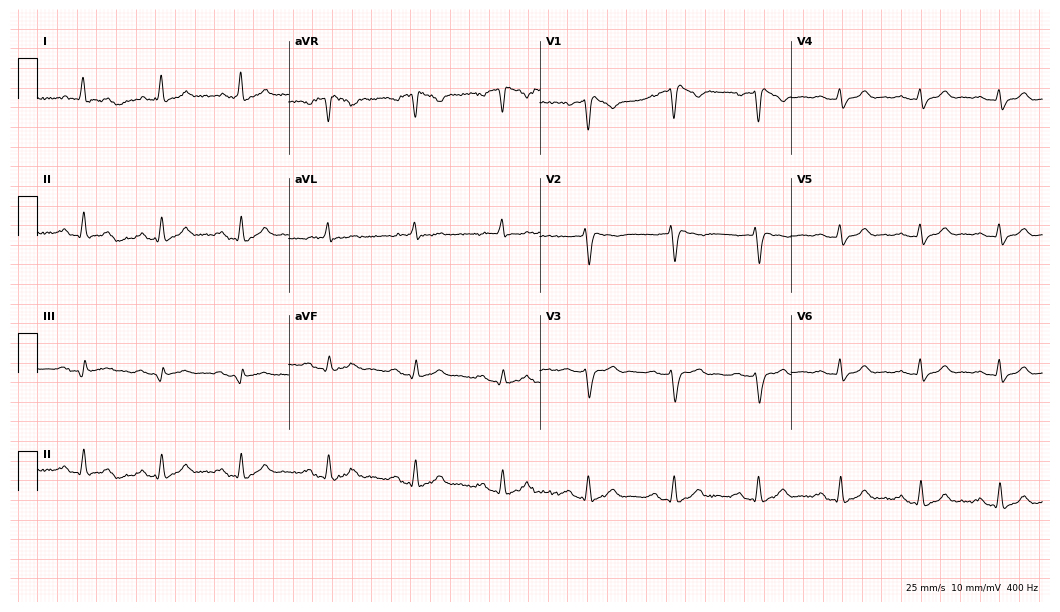
ECG — a male, 53 years old. Screened for six findings — first-degree AV block, right bundle branch block, left bundle branch block, sinus bradycardia, atrial fibrillation, sinus tachycardia — none is recorded.